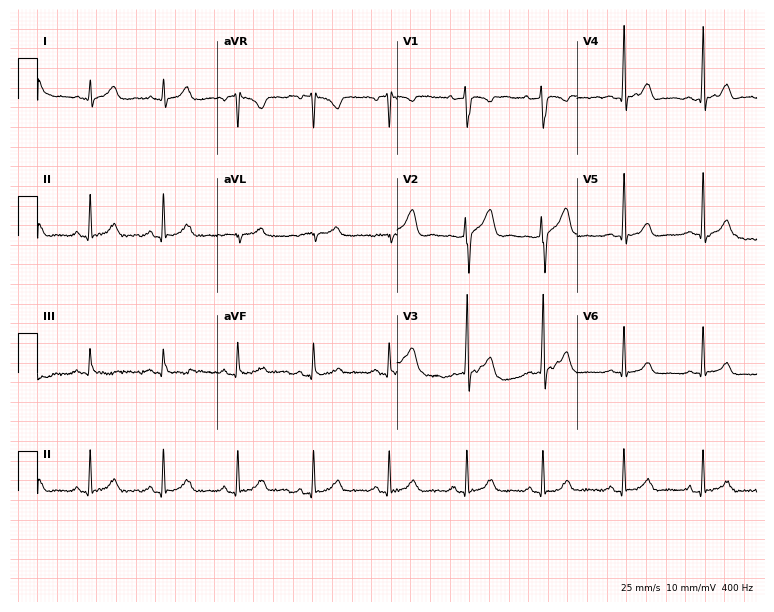
12-lead ECG (7.3-second recording at 400 Hz) from a 36-year-old male. Labelled as a normal ECG.